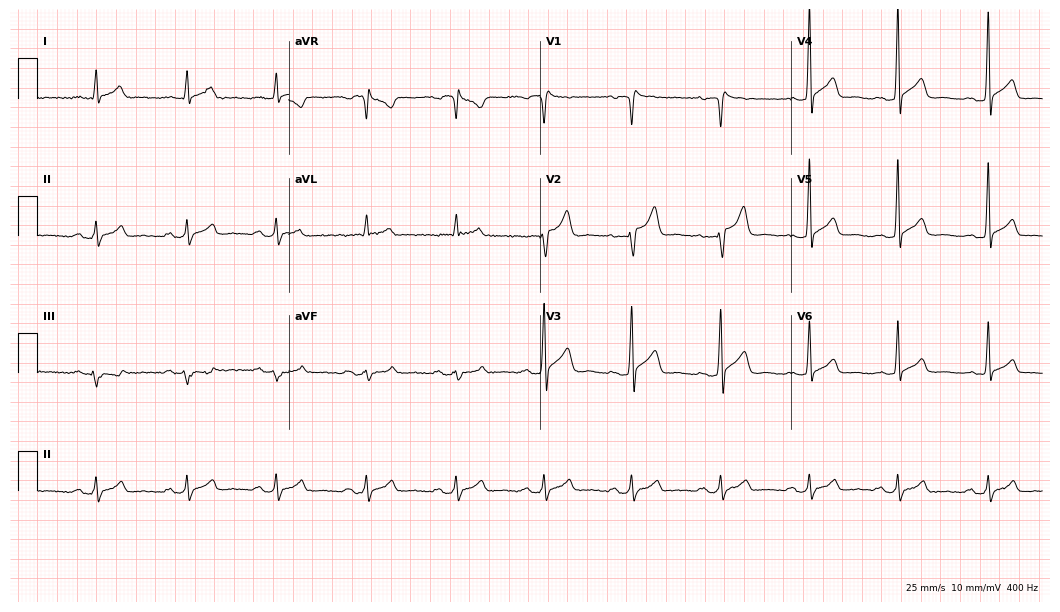
Resting 12-lead electrocardiogram. Patient: a man, 43 years old. None of these six findings is recorded: first-degree AV block, right bundle branch block, left bundle branch block, sinus bradycardia, atrial fibrillation, sinus tachycardia. Other findings, if any, are not listed.